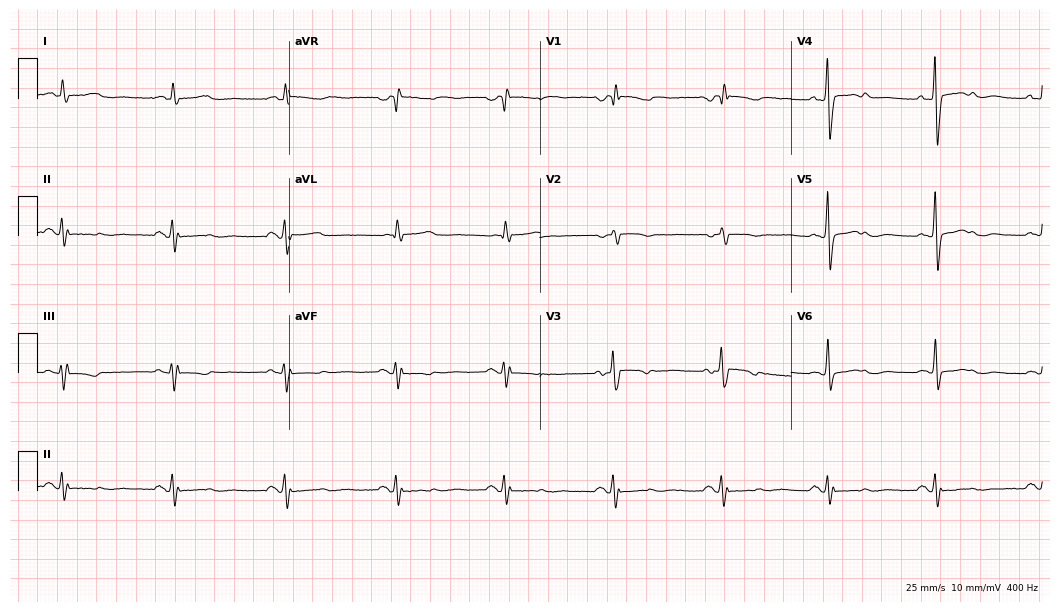
Standard 12-lead ECG recorded from a male patient, 57 years old (10.2-second recording at 400 Hz). None of these six findings is recorded: first-degree AV block, right bundle branch block, left bundle branch block, sinus bradycardia, atrial fibrillation, sinus tachycardia. Findings outside these six are not listed.